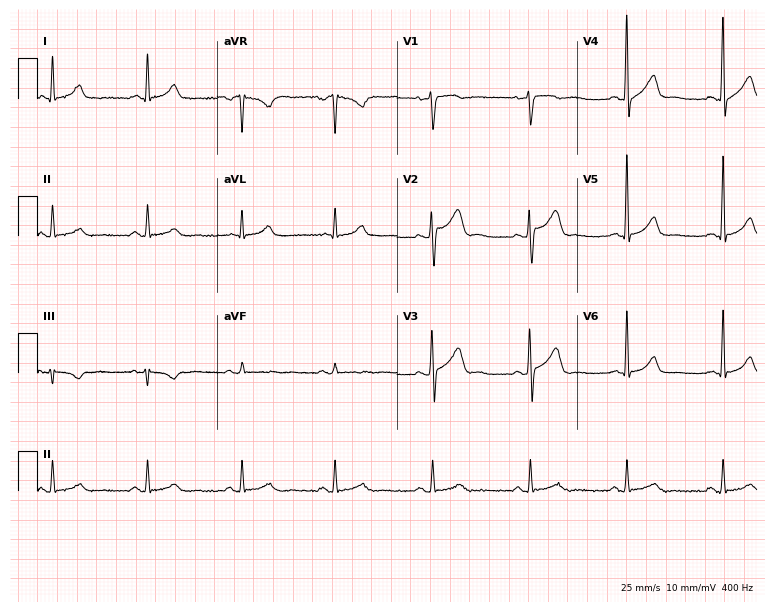
12-lead ECG from a 35-year-old male (7.3-second recording at 400 Hz). No first-degree AV block, right bundle branch block, left bundle branch block, sinus bradycardia, atrial fibrillation or sinus tachycardia recorded for this tracing. Other findings, if any, are not listed.